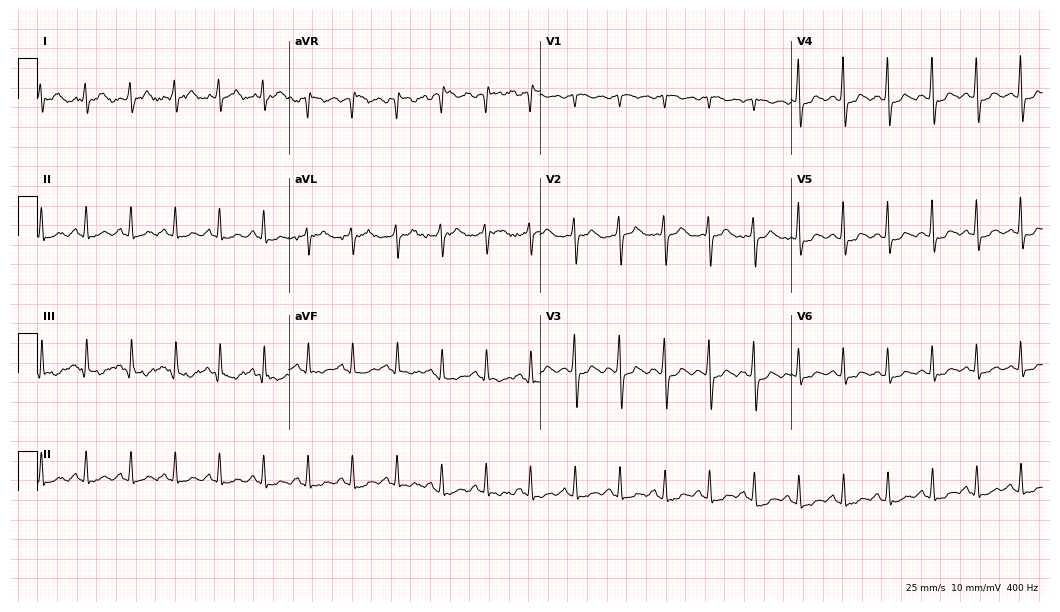
12-lead ECG from a female, 42 years old (10.2-second recording at 400 Hz). Shows sinus tachycardia (a sinus rate of 100 beats per minute or more).